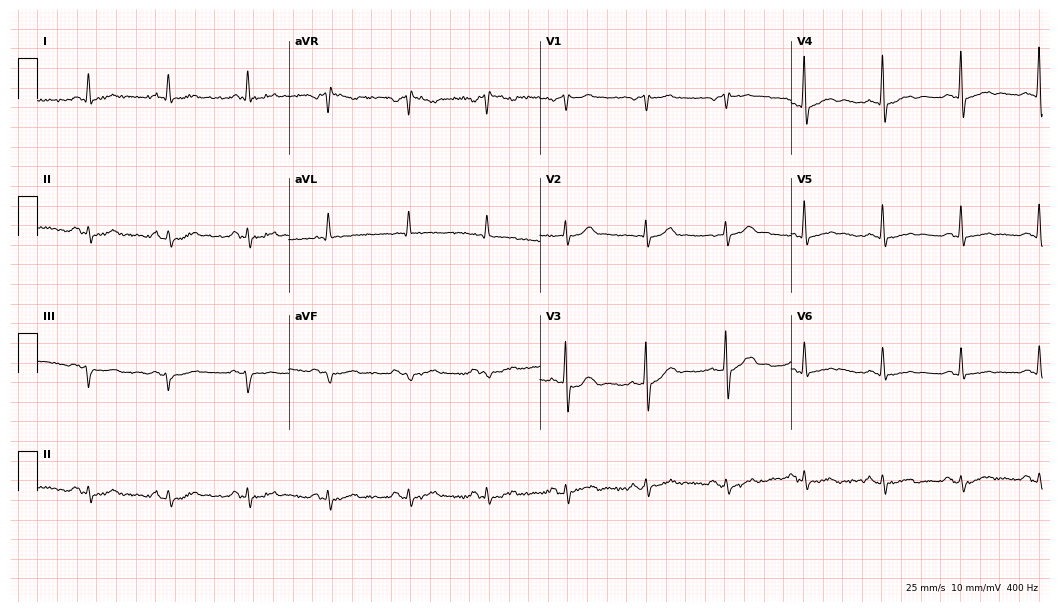
ECG (10.2-second recording at 400 Hz) — a male patient, 71 years old. Screened for six findings — first-degree AV block, right bundle branch block, left bundle branch block, sinus bradycardia, atrial fibrillation, sinus tachycardia — none is recorded. Only these six findings were labelled.